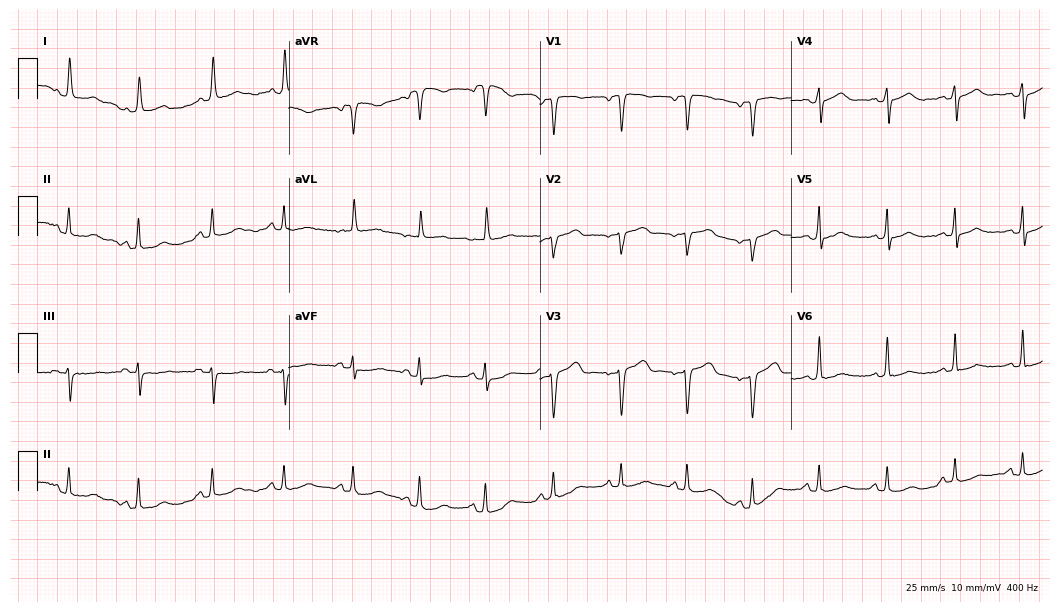
Standard 12-lead ECG recorded from a 52-year-old female. Read as a normal ECG.